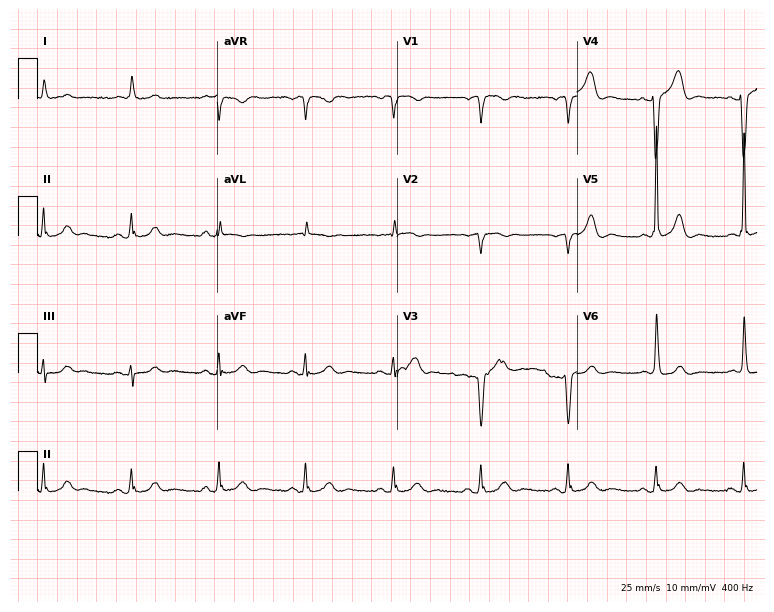
Electrocardiogram (7.3-second recording at 400 Hz), a male, 85 years old. Of the six screened findings (first-degree AV block, right bundle branch block, left bundle branch block, sinus bradycardia, atrial fibrillation, sinus tachycardia), none is recorded.